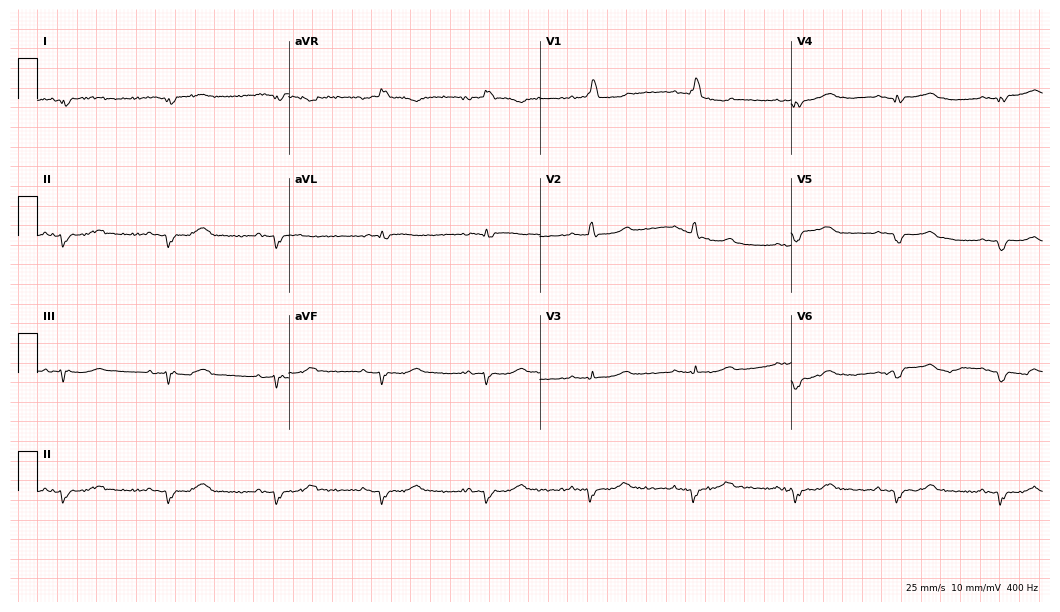
12-lead ECG (10.2-second recording at 400 Hz) from a woman, 72 years old. Findings include right bundle branch block (RBBB).